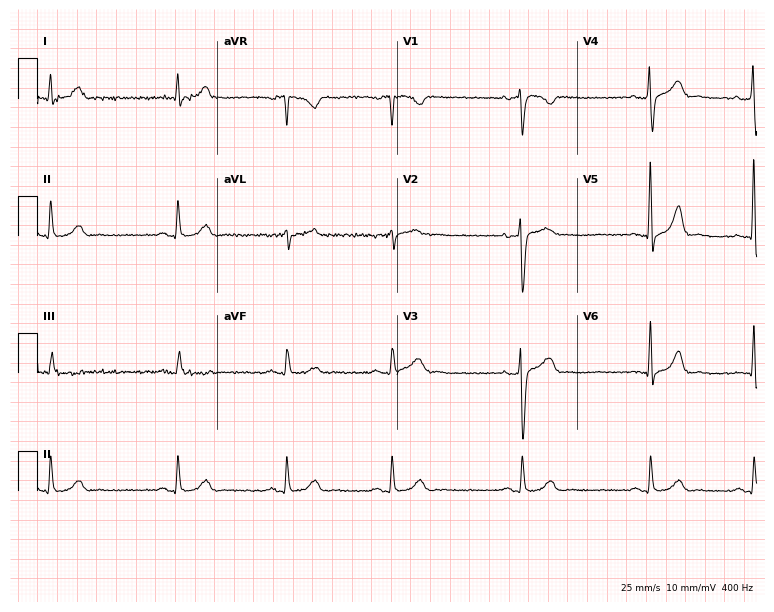
Standard 12-lead ECG recorded from a 44-year-old man. Read as a normal ECG.